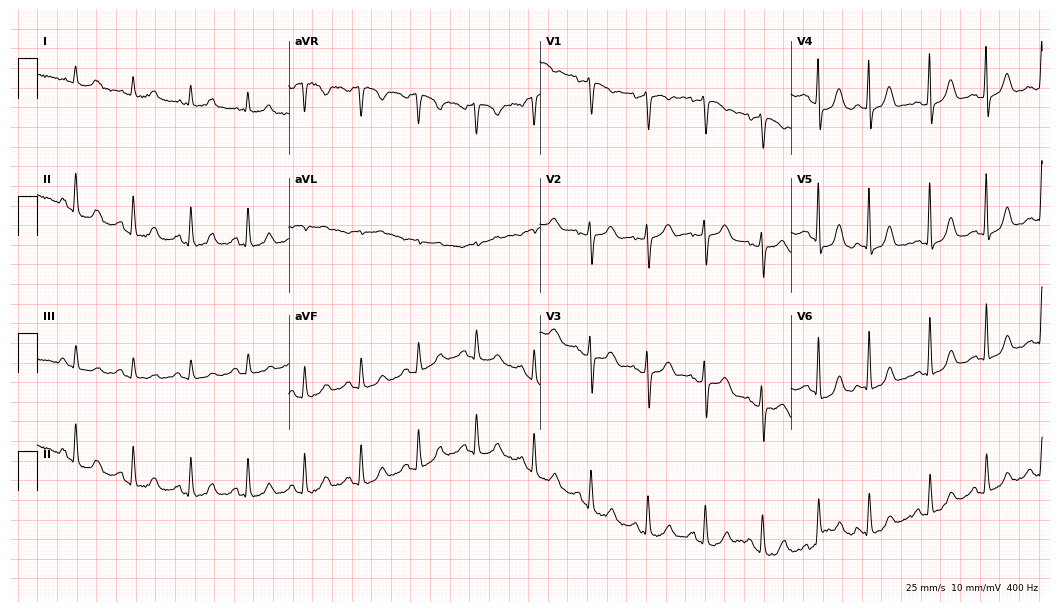
Standard 12-lead ECG recorded from a 72-year-old female. The tracing shows sinus tachycardia (a sinus rate of 100 beats per minute or more).